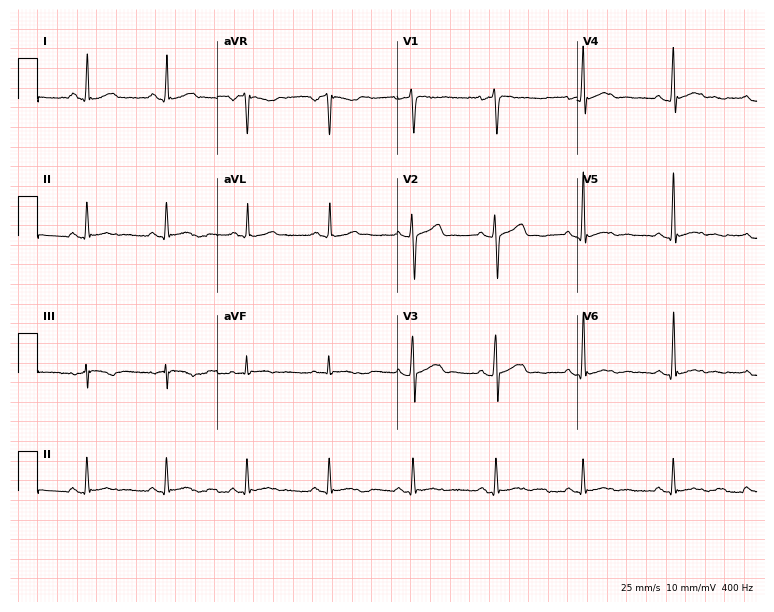
Resting 12-lead electrocardiogram (7.3-second recording at 400 Hz). Patient: a 29-year-old male. None of these six findings is recorded: first-degree AV block, right bundle branch block, left bundle branch block, sinus bradycardia, atrial fibrillation, sinus tachycardia.